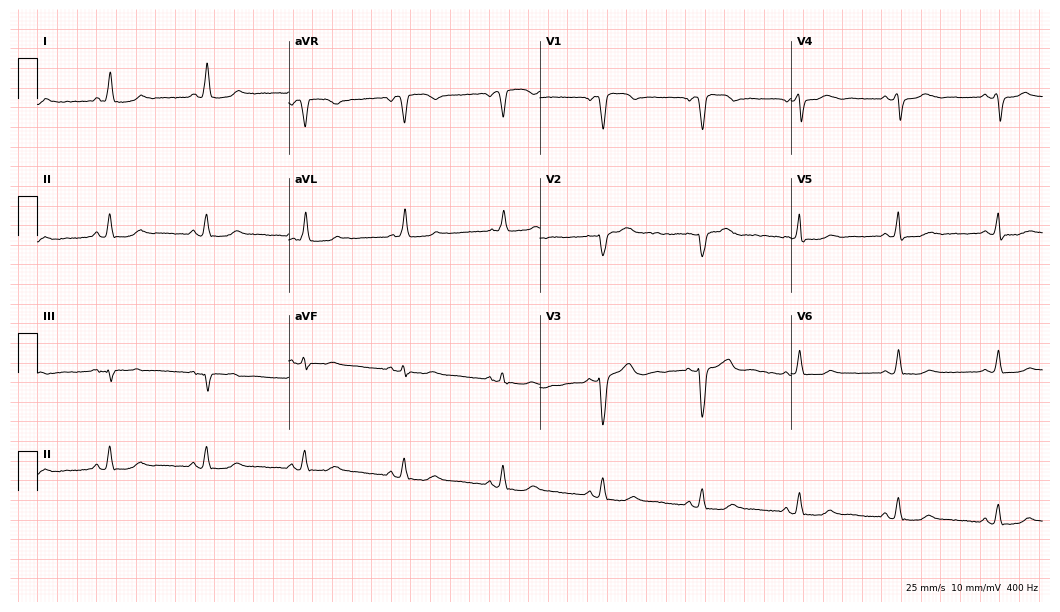
Resting 12-lead electrocardiogram (10.2-second recording at 400 Hz). Patient: a woman, 66 years old. None of these six findings is recorded: first-degree AV block, right bundle branch block, left bundle branch block, sinus bradycardia, atrial fibrillation, sinus tachycardia.